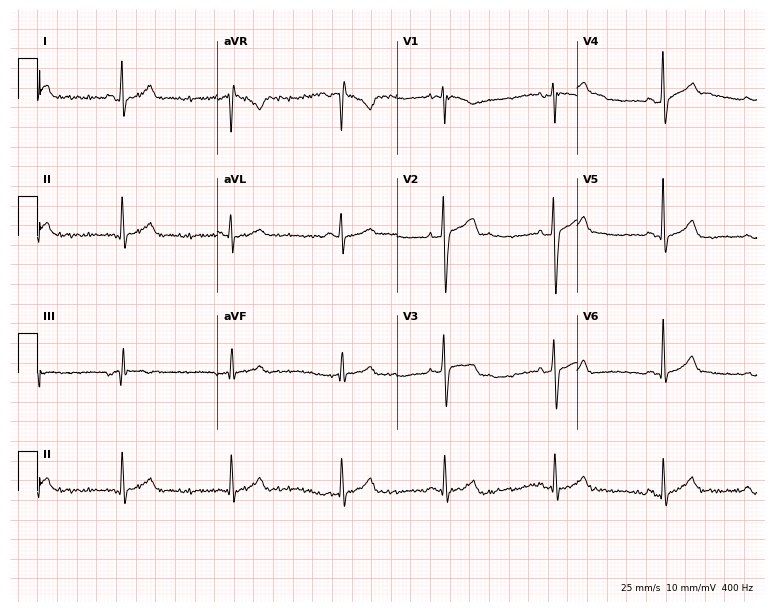
ECG (7.3-second recording at 400 Hz) — a man, 24 years old. Labelled as a normal ECG.